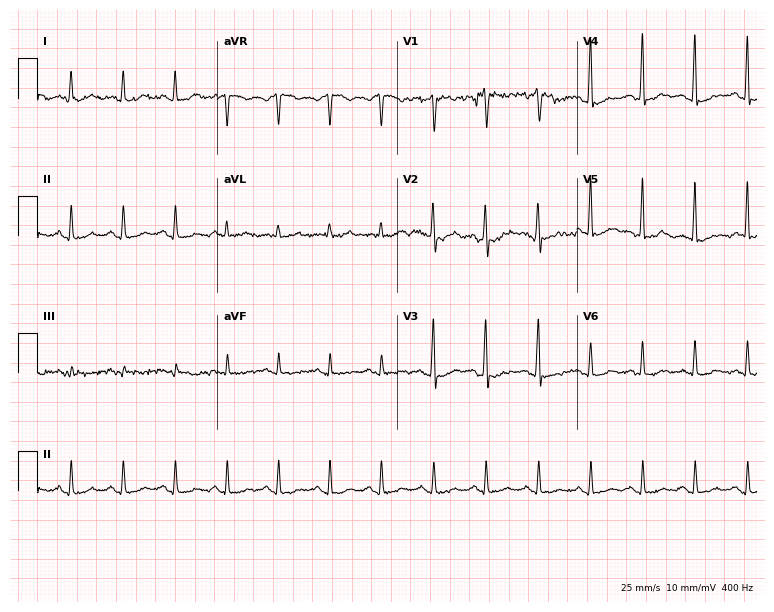
12-lead ECG from a woman, 49 years old (7.3-second recording at 400 Hz). No first-degree AV block, right bundle branch block (RBBB), left bundle branch block (LBBB), sinus bradycardia, atrial fibrillation (AF) or sinus tachycardia recorded for this tracing. Only these six findings were labelled.